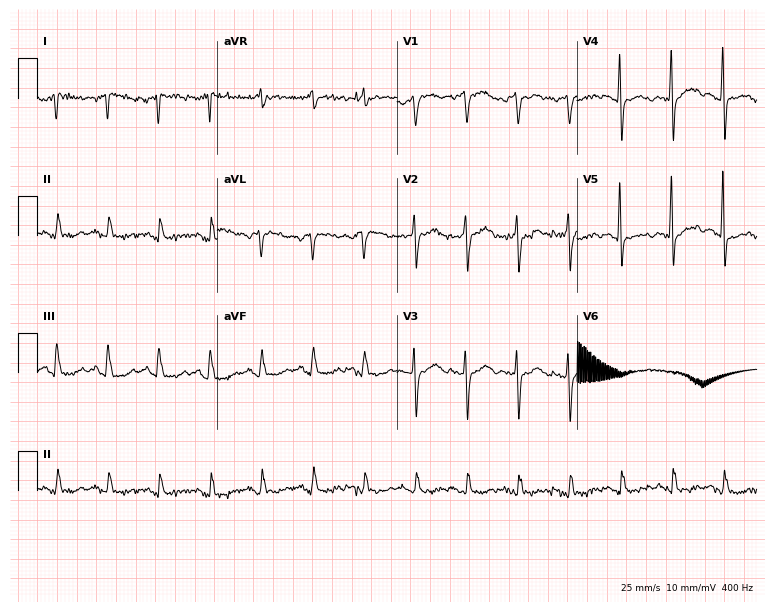
12-lead ECG from a 55-year-old female (7.3-second recording at 400 Hz). No first-degree AV block, right bundle branch block, left bundle branch block, sinus bradycardia, atrial fibrillation or sinus tachycardia recorded for this tracing. Findings outside these six are not listed.